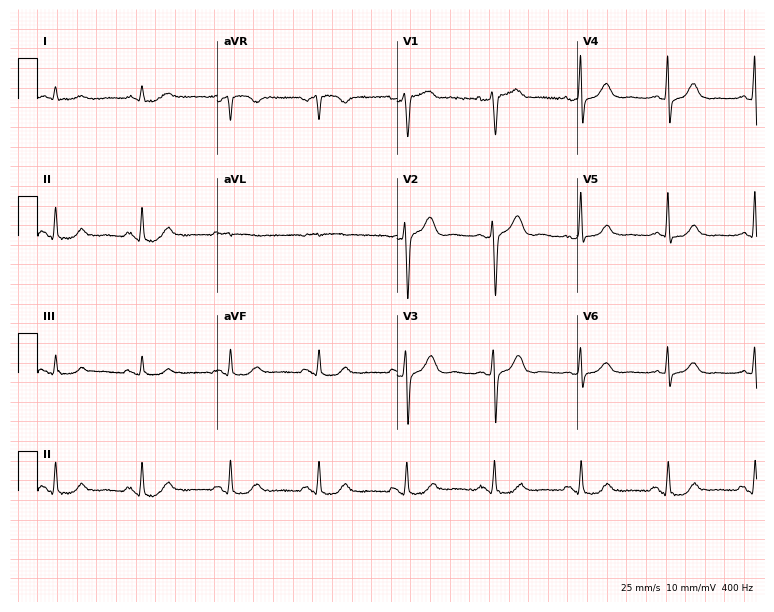
Electrocardiogram, a male patient, 62 years old. Of the six screened findings (first-degree AV block, right bundle branch block (RBBB), left bundle branch block (LBBB), sinus bradycardia, atrial fibrillation (AF), sinus tachycardia), none is recorded. Only these six findings were labelled.